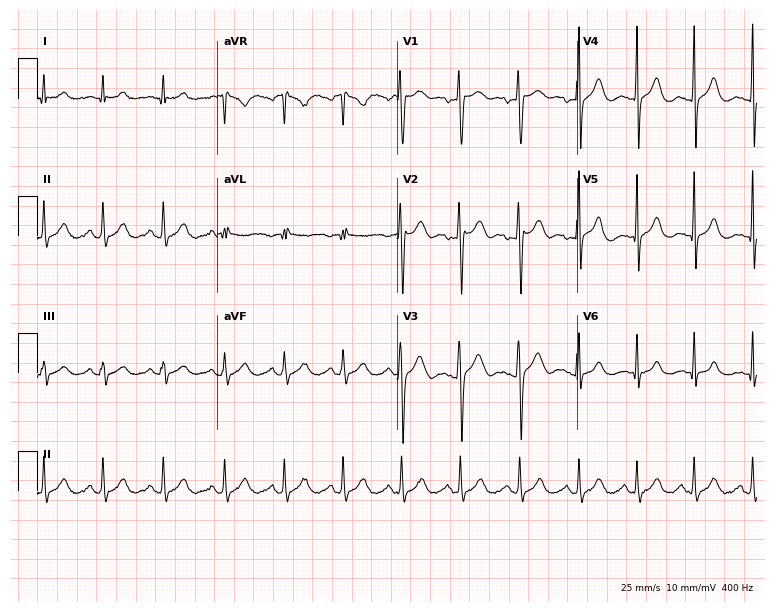
Electrocardiogram (7.3-second recording at 400 Hz), a 21-year-old male. Of the six screened findings (first-degree AV block, right bundle branch block, left bundle branch block, sinus bradycardia, atrial fibrillation, sinus tachycardia), none is recorded.